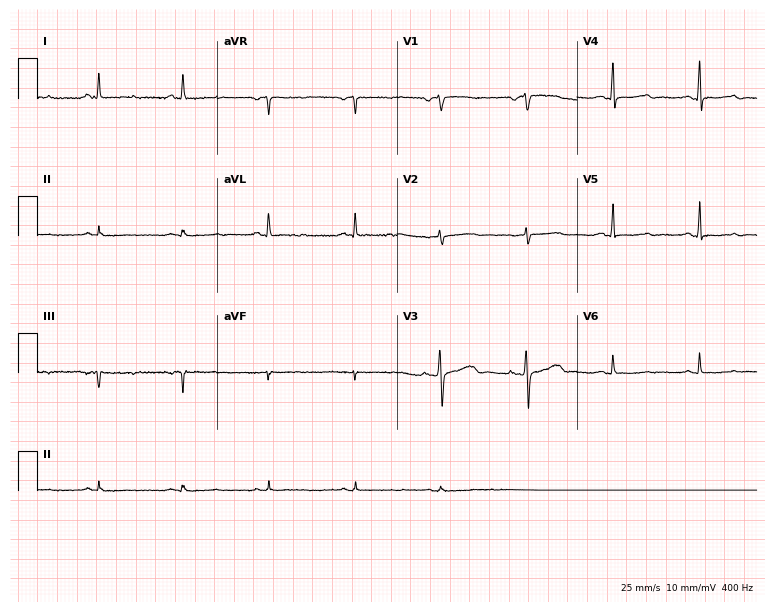
Standard 12-lead ECG recorded from a 76-year-old woman. None of these six findings is recorded: first-degree AV block, right bundle branch block, left bundle branch block, sinus bradycardia, atrial fibrillation, sinus tachycardia. Findings outside these six are not listed.